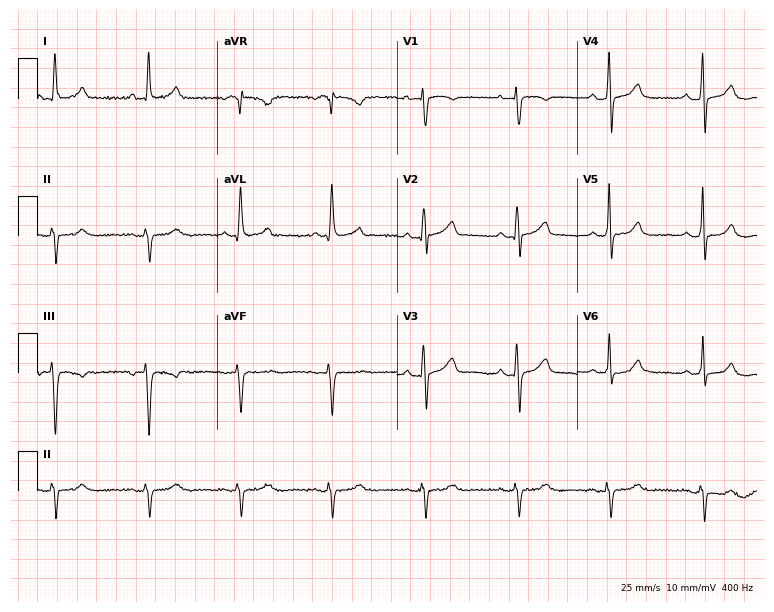
12-lead ECG from a woman, 76 years old. Screened for six findings — first-degree AV block, right bundle branch block, left bundle branch block, sinus bradycardia, atrial fibrillation, sinus tachycardia — none is recorded. Other findings, if any, are not listed.